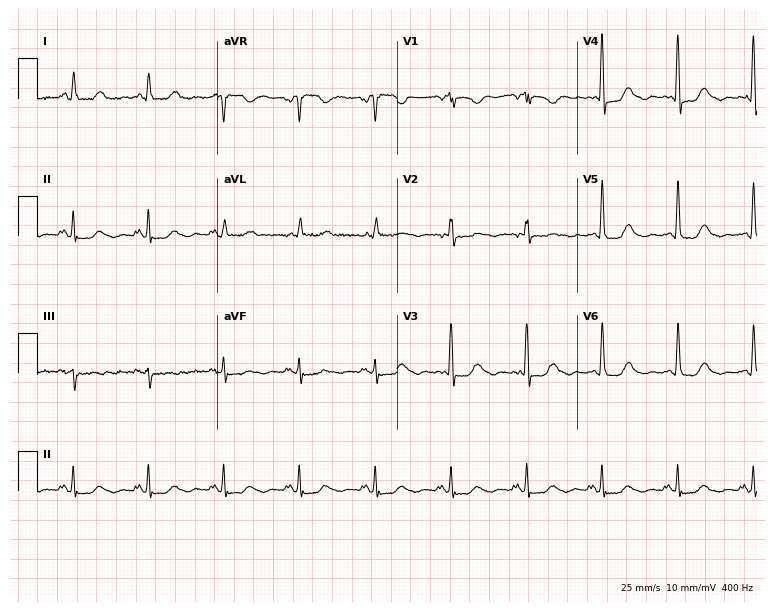
Electrocardiogram, a 67-year-old female. Overall reading on record: normal ECG.